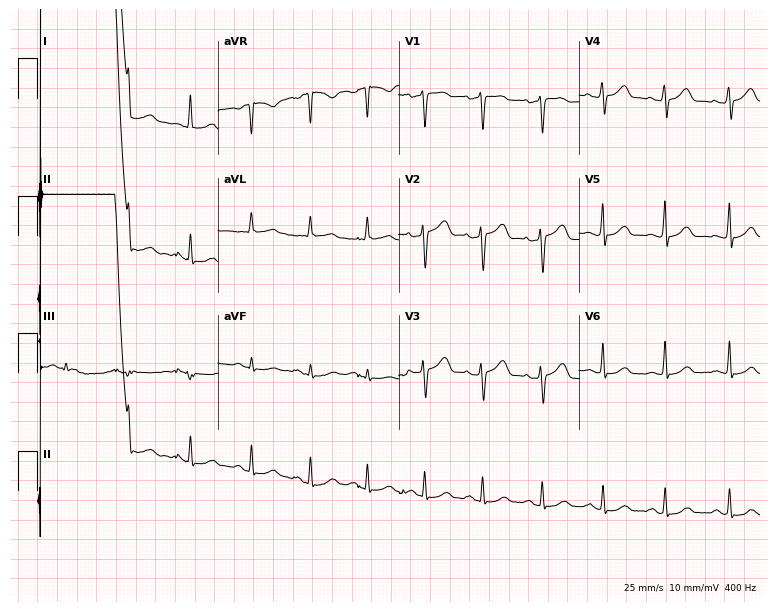
Standard 12-lead ECG recorded from a 57-year-old woman. Read as a normal ECG.